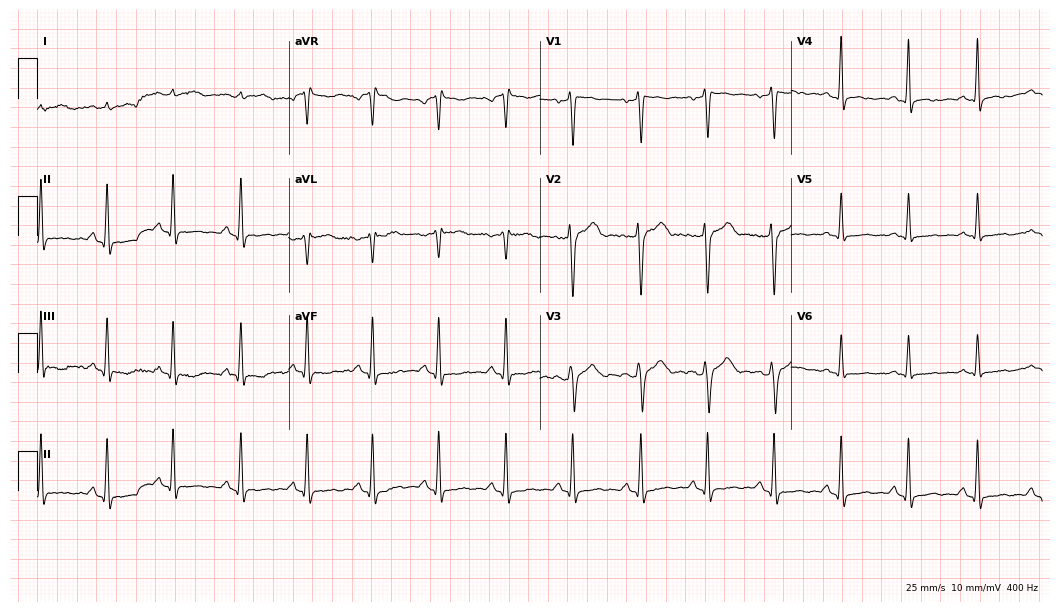
12-lead ECG from a 35-year-old male patient (10.2-second recording at 400 Hz). No first-degree AV block, right bundle branch block (RBBB), left bundle branch block (LBBB), sinus bradycardia, atrial fibrillation (AF) or sinus tachycardia recorded for this tracing.